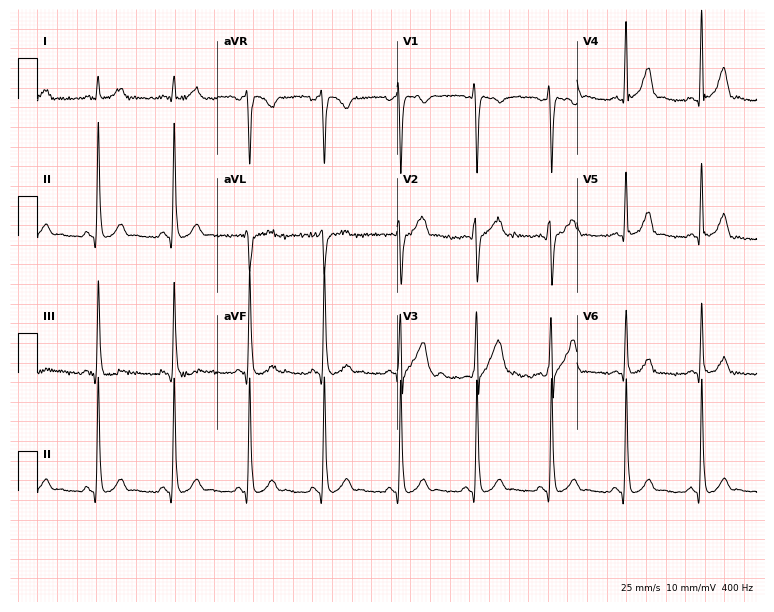
Resting 12-lead electrocardiogram. Patient: a man, 26 years old. None of these six findings is recorded: first-degree AV block, right bundle branch block (RBBB), left bundle branch block (LBBB), sinus bradycardia, atrial fibrillation (AF), sinus tachycardia.